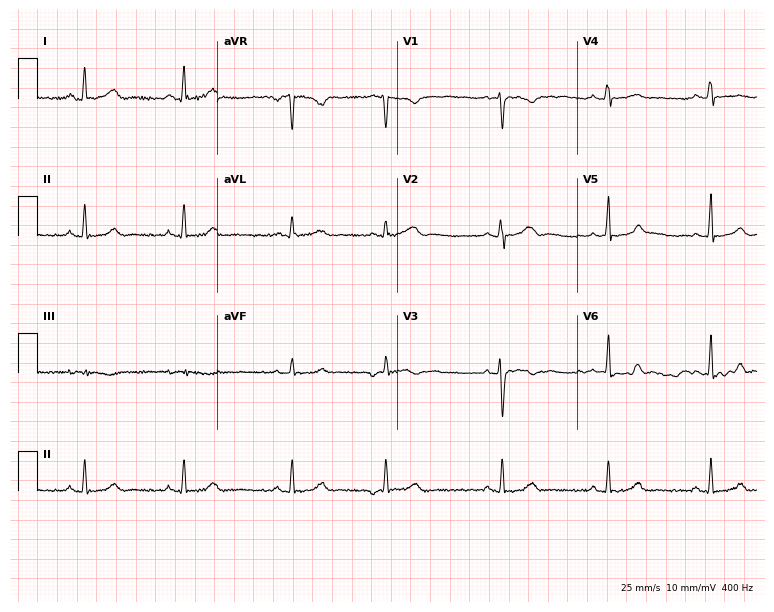
12-lead ECG from a 27-year-old female. Recorded interpretation: within normal limits.